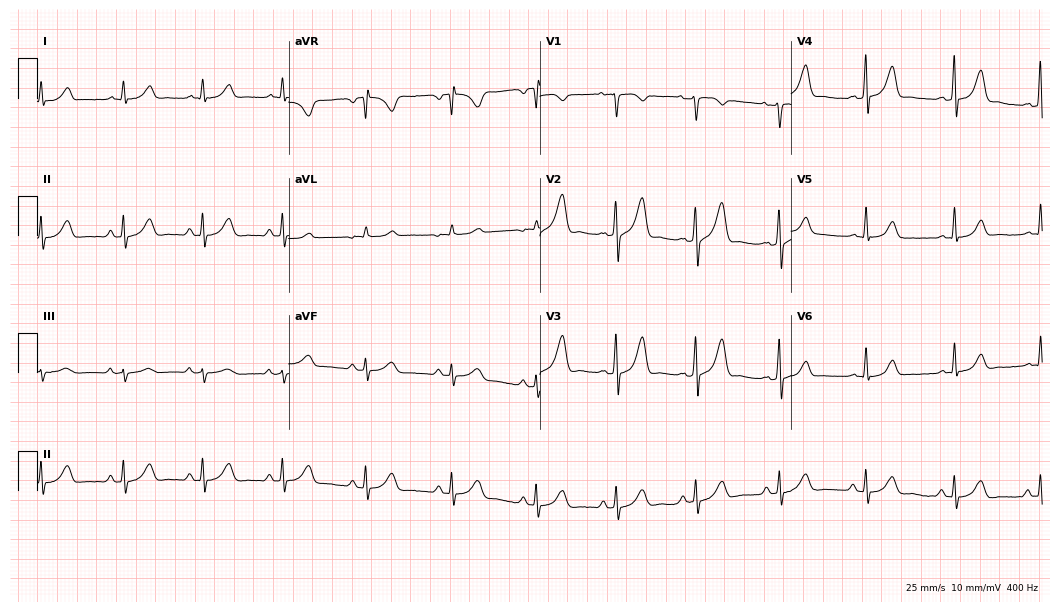
Electrocardiogram (10.2-second recording at 400 Hz), a man, 65 years old. Overall reading on record: normal ECG.